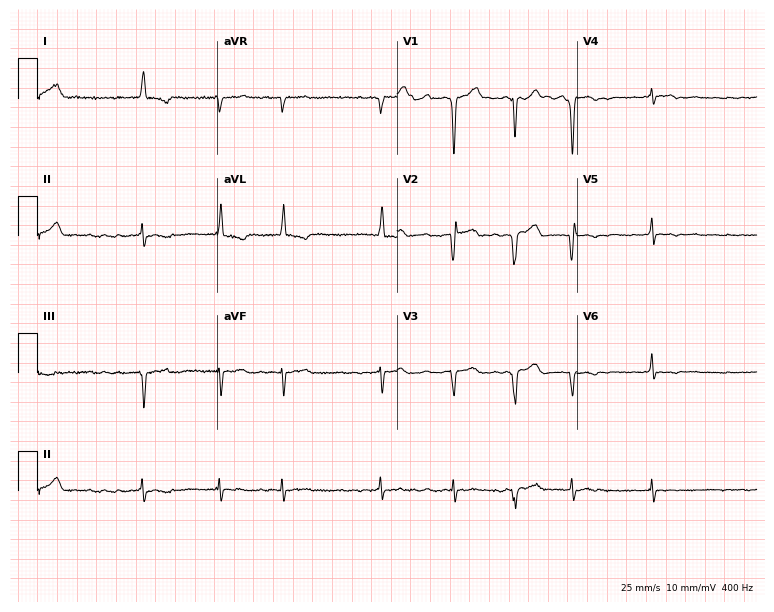
Standard 12-lead ECG recorded from a male patient, 82 years old. The tracing shows atrial fibrillation.